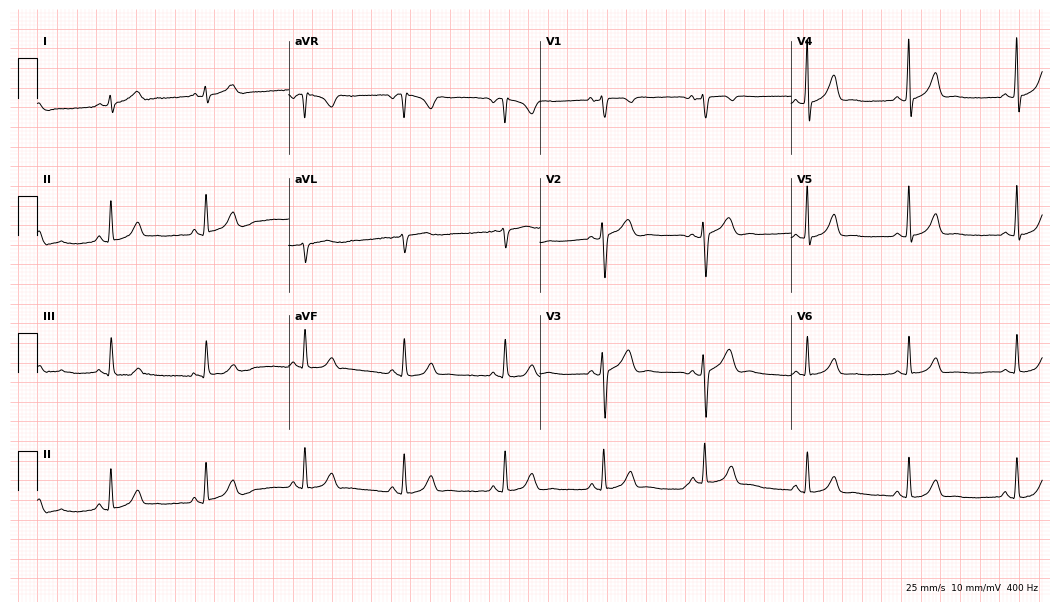
ECG (10.2-second recording at 400 Hz) — a female, 29 years old. Screened for six findings — first-degree AV block, right bundle branch block, left bundle branch block, sinus bradycardia, atrial fibrillation, sinus tachycardia — none is recorded. Findings outside these six are not listed.